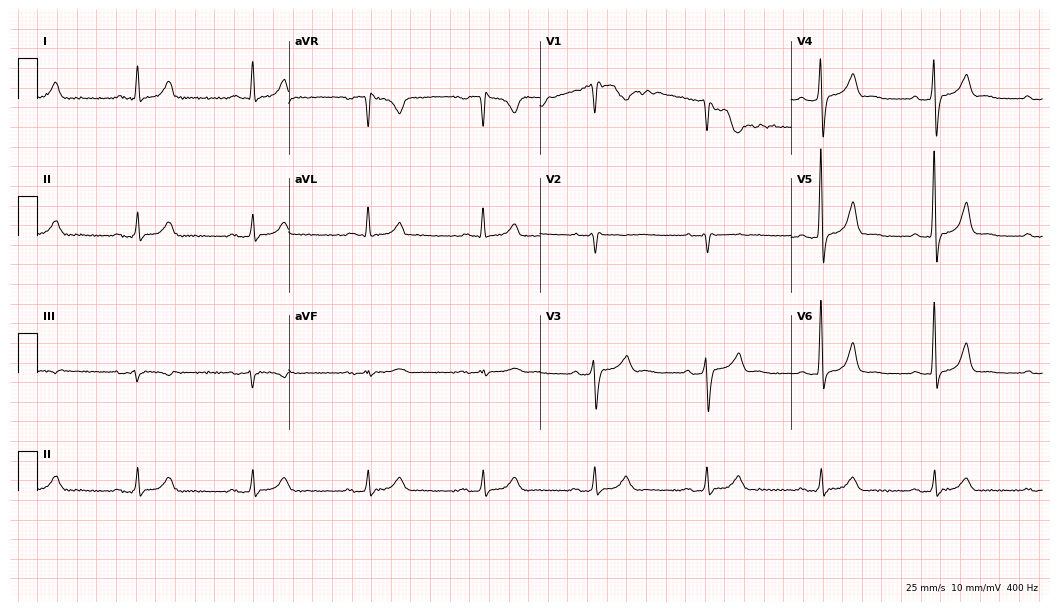
Electrocardiogram (10.2-second recording at 400 Hz), a male patient, 56 years old. Overall reading on record: normal ECG.